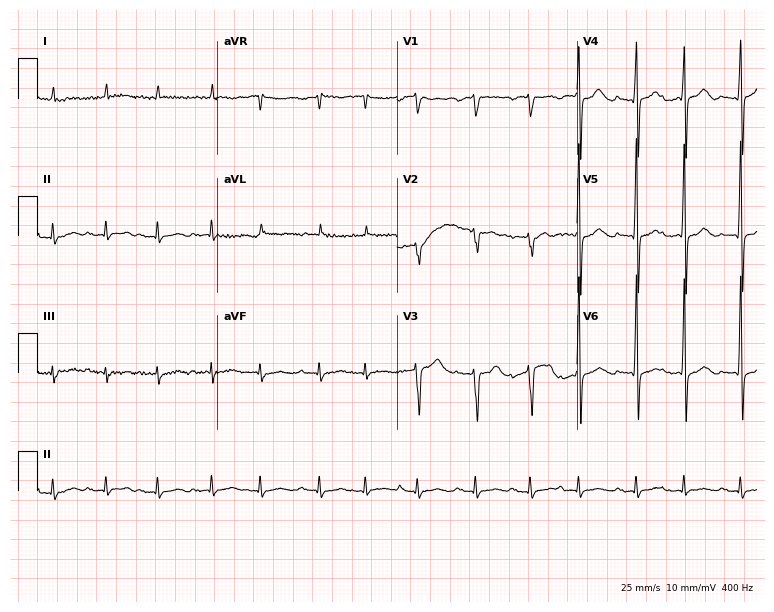
Electrocardiogram (7.3-second recording at 400 Hz), an 85-year-old male. Interpretation includes sinus tachycardia (a sinus rate of 100 beats per minute or more).